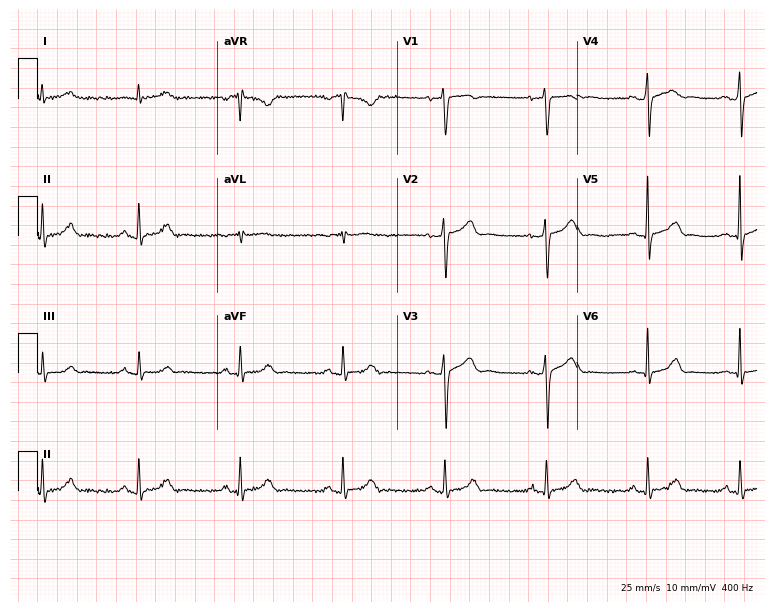
Electrocardiogram (7.3-second recording at 400 Hz), a 39-year-old male. Of the six screened findings (first-degree AV block, right bundle branch block, left bundle branch block, sinus bradycardia, atrial fibrillation, sinus tachycardia), none is recorded. Other findings, if any, are not listed.